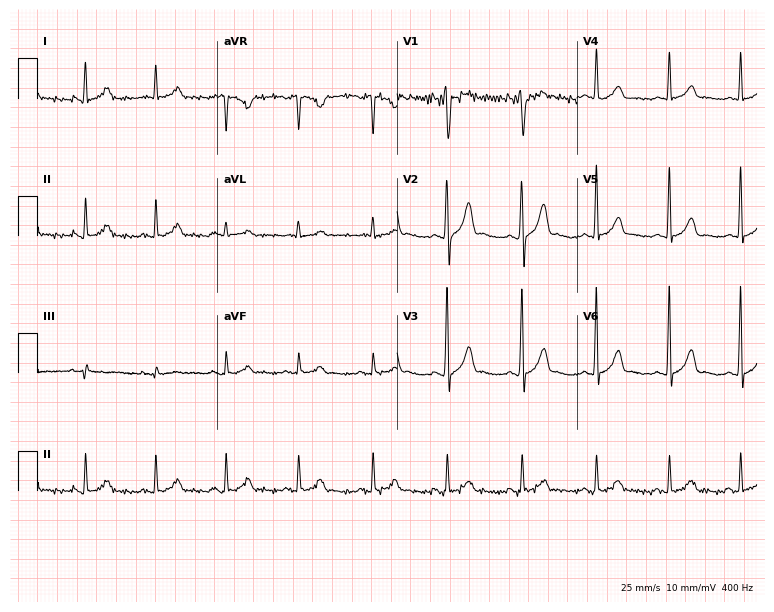
12-lead ECG from a male, 28 years old. Labelled as a normal ECG.